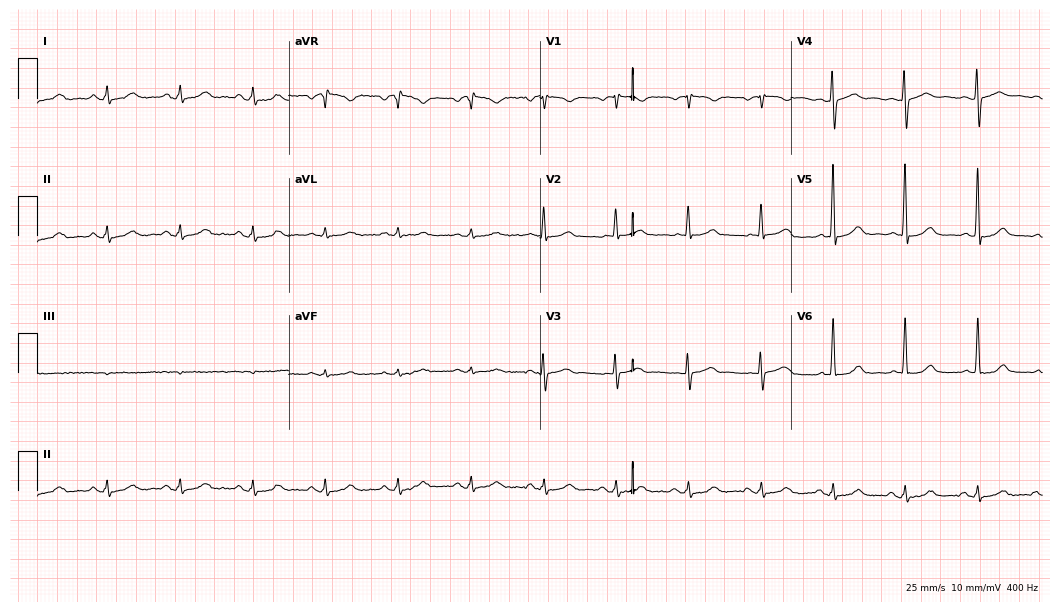
Resting 12-lead electrocardiogram (10.2-second recording at 400 Hz). Patient: a female, 76 years old. None of these six findings is recorded: first-degree AV block, right bundle branch block (RBBB), left bundle branch block (LBBB), sinus bradycardia, atrial fibrillation (AF), sinus tachycardia.